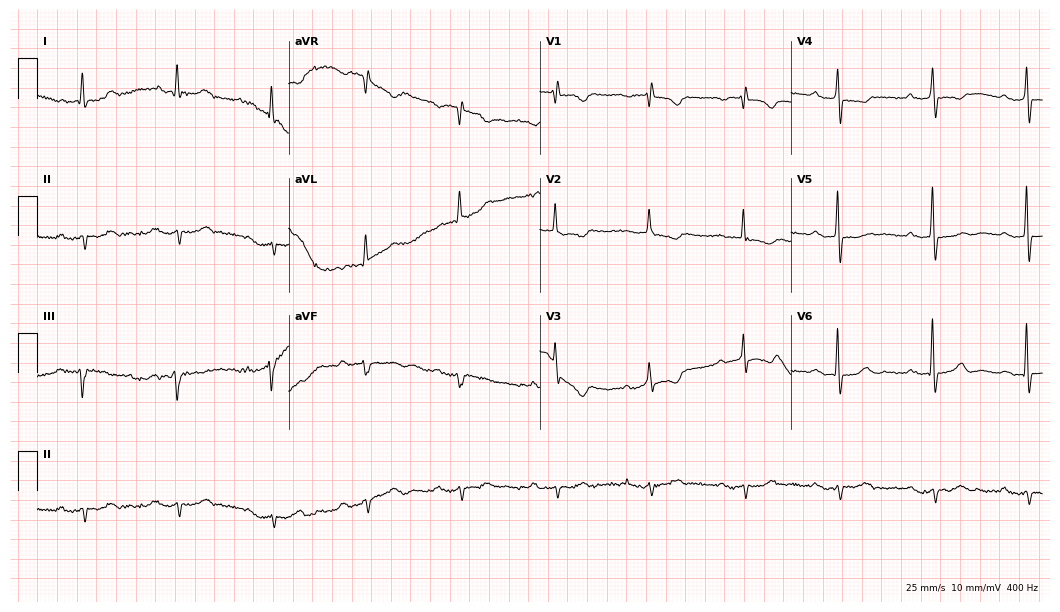
Standard 12-lead ECG recorded from an 81-year-old man (10.2-second recording at 400 Hz). The tracing shows first-degree AV block.